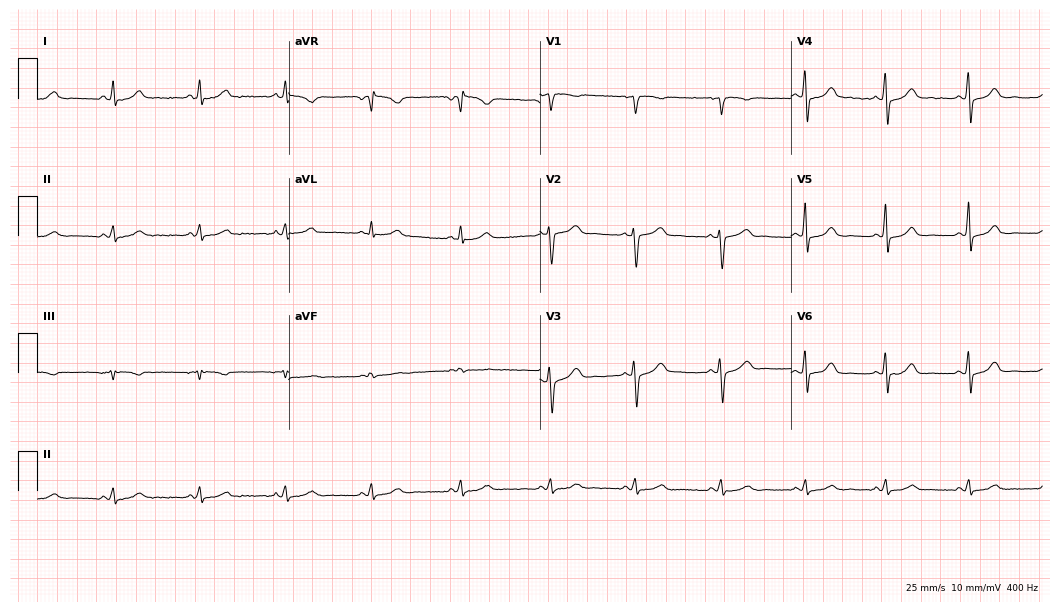
Resting 12-lead electrocardiogram. Patient: a 52-year-old female. Read as a normal ECG.